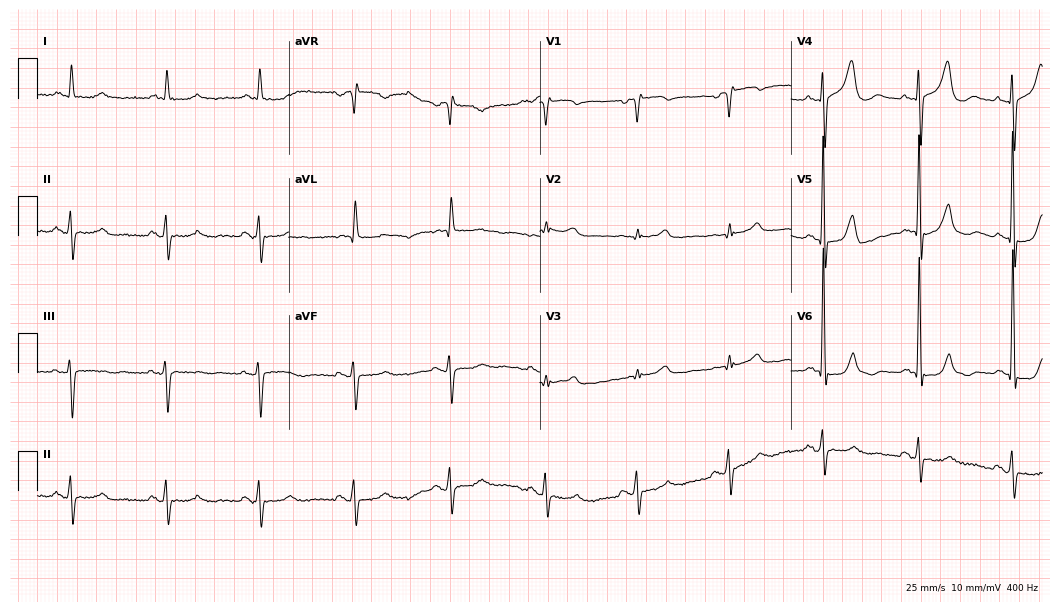
Electrocardiogram (10.2-second recording at 400 Hz), a man, 69 years old. Of the six screened findings (first-degree AV block, right bundle branch block, left bundle branch block, sinus bradycardia, atrial fibrillation, sinus tachycardia), none is recorded. Findings outside these six are not listed.